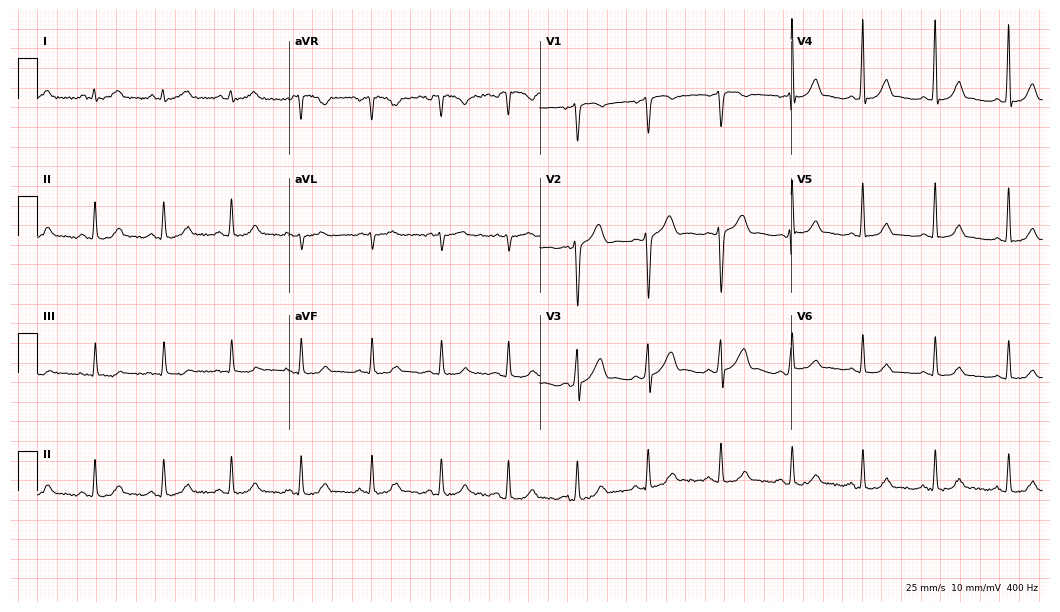
Electrocardiogram, a 43-year-old man. Overall reading on record: normal ECG.